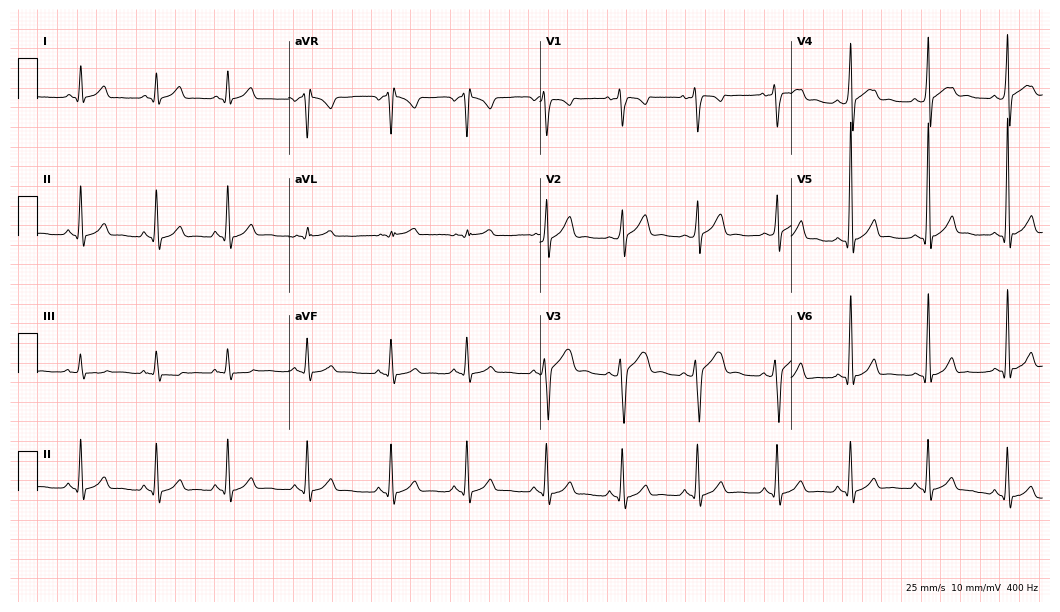
12-lead ECG from a 17-year-old male patient. Labelled as a normal ECG.